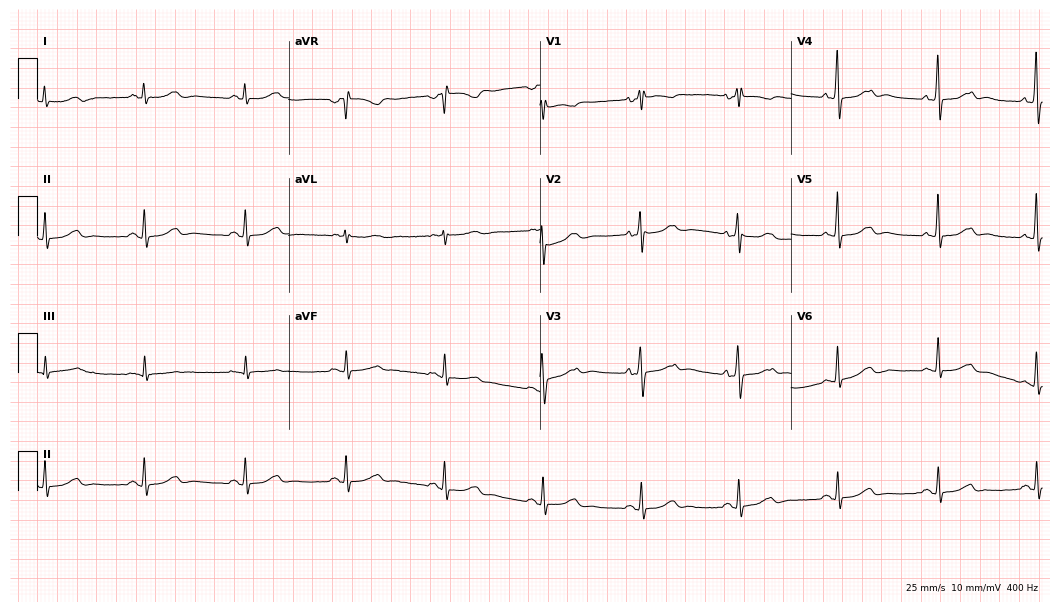
12-lead ECG (10.2-second recording at 400 Hz) from a woman, 82 years old. Labelled as a normal ECG.